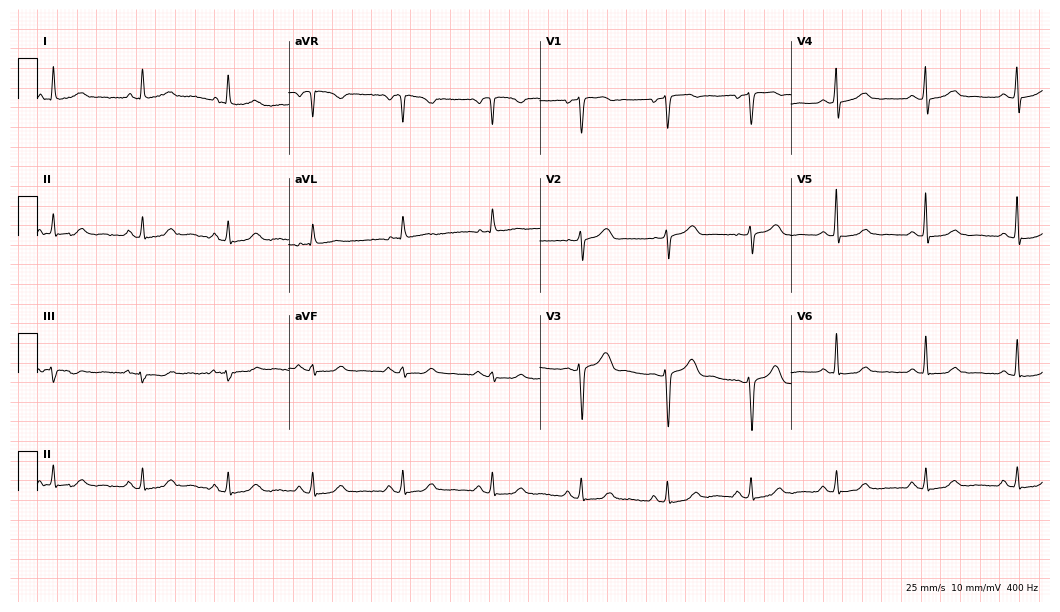
Electrocardiogram, a female patient, 58 years old. Overall reading on record: normal ECG.